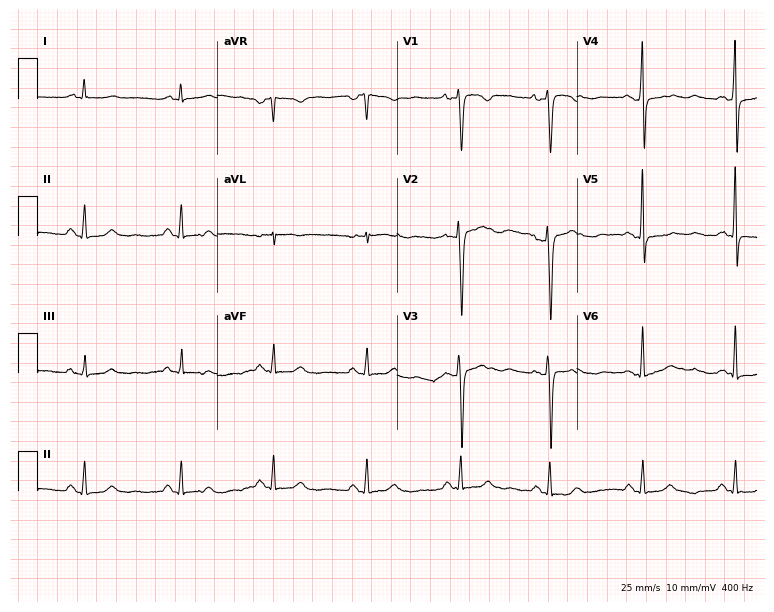
12-lead ECG from a female patient, 37 years old (7.3-second recording at 400 Hz). No first-degree AV block, right bundle branch block (RBBB), left bundle branch block (LBBB), sinus bradycardia, atrial fibrillation (AF) or sinus tachycardia recorded for this tracing.